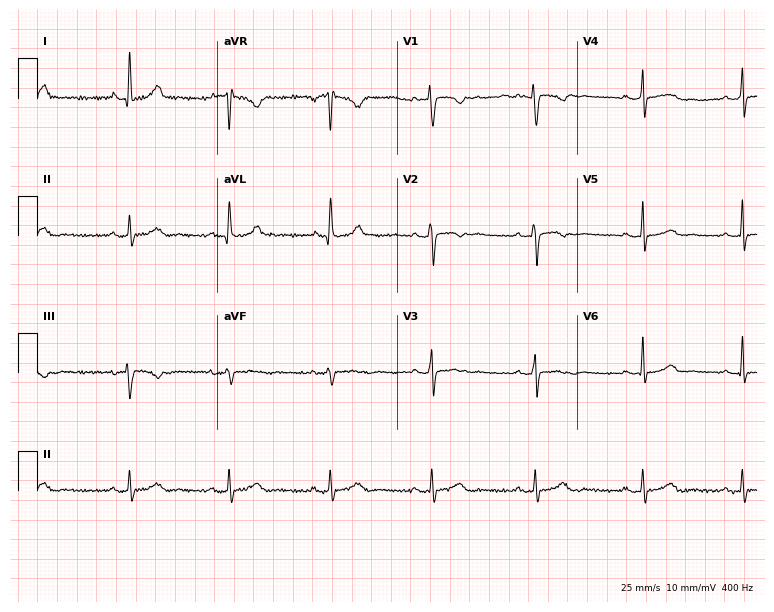
Standard 12-lead ECG recorded from a 24-year-old female. Read as a normal ECG.